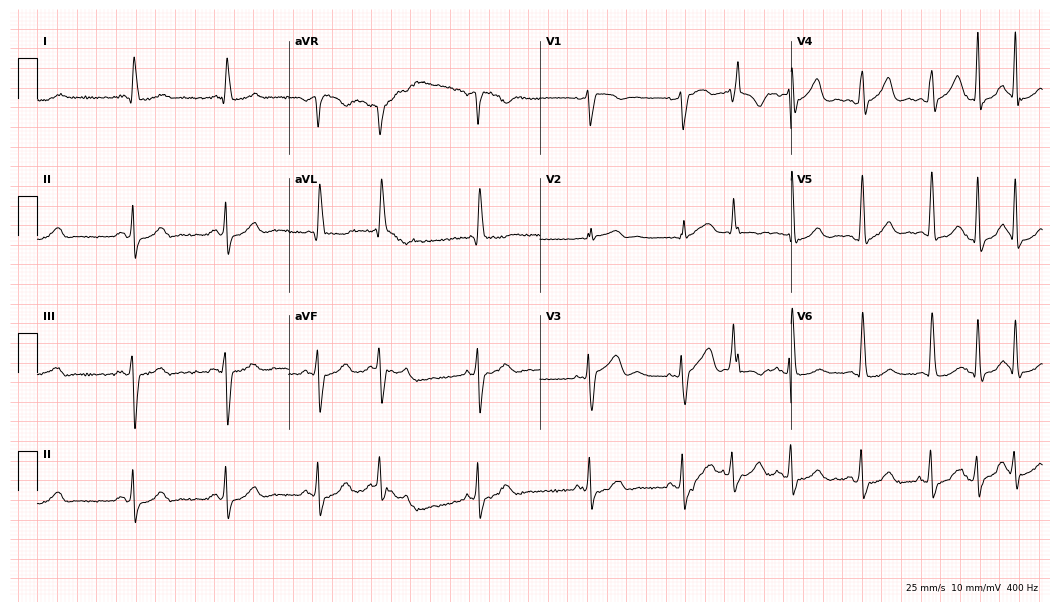
Resting 12-lead electrocardiogram (10.2-second recording at 400 Hz). Patient: a 70-year-old male. None of these six findings is recorded: first-degree AV block, right bundle branch block, left bundle branch block, sinus bradycardia, atrial fibrillation, sinus tachycardia.